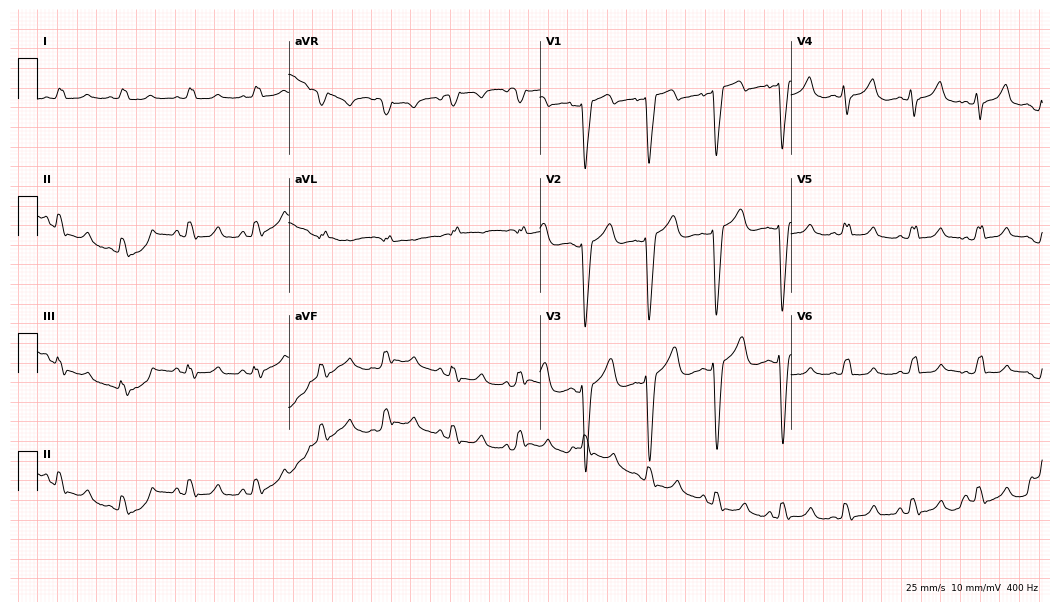
12-lead ECG (10.2-second recording at 400 Hz) from a 67-year-old female patient. Findings include left bundle branch block.